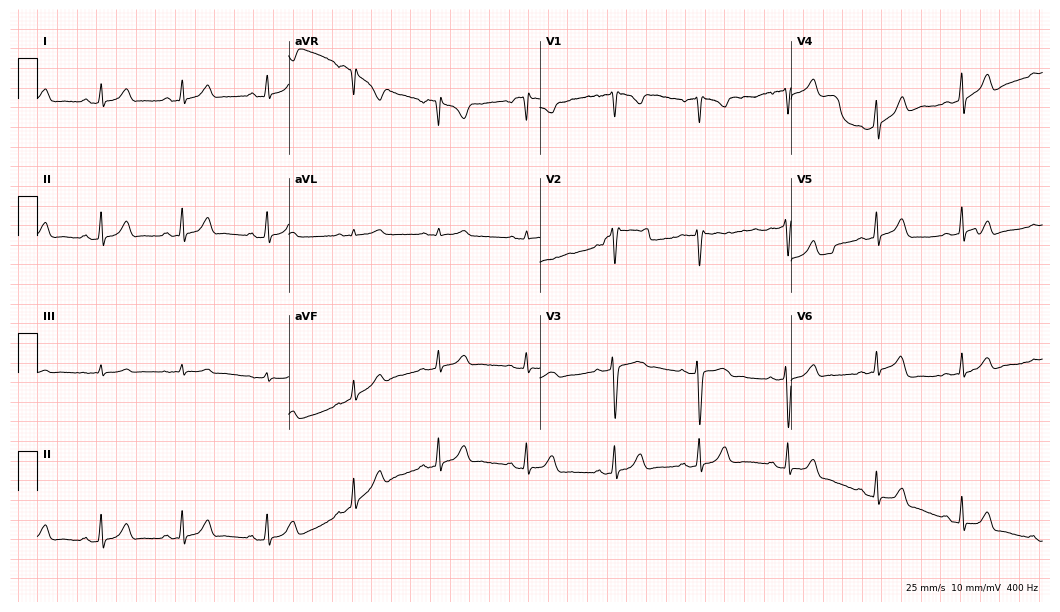
12-lead ECG from a 42-year-old woman (10.2-second recording at 400 Hz). Recorded interpretation: within normal limits.